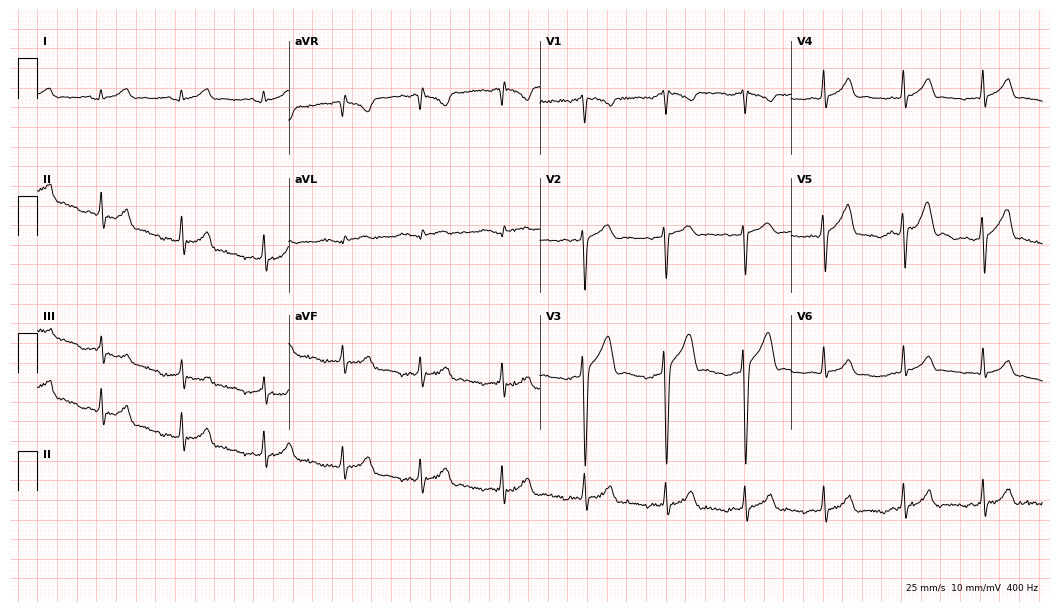
ECG — a male patient, 19 years old. Screened for six findings — first-degree AV block, right bundle branch block, left bundle branch block, sinus bradycardia, atrial fibrillation, sinus tachycardia — none is recorded.